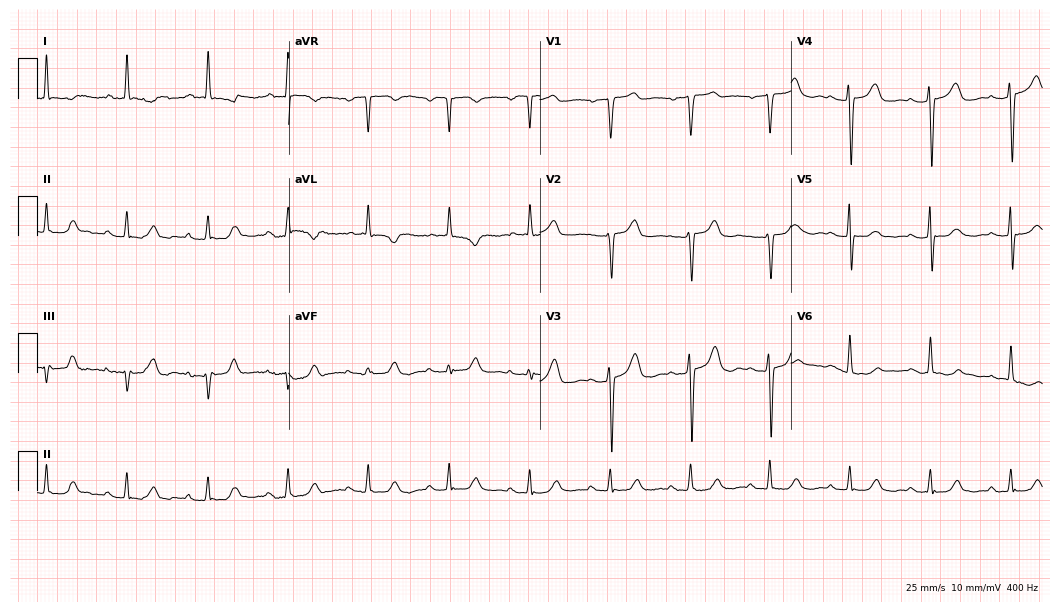
Electrocardiogram, a female patient, 83 years old. Of the six screened findings (first-degree AV block, right bundle branch block, left bundle branch block, sinus bradycardia, atrial fibrillation, sinus tachycardia), none is recorded. Only these six findings were labelled.